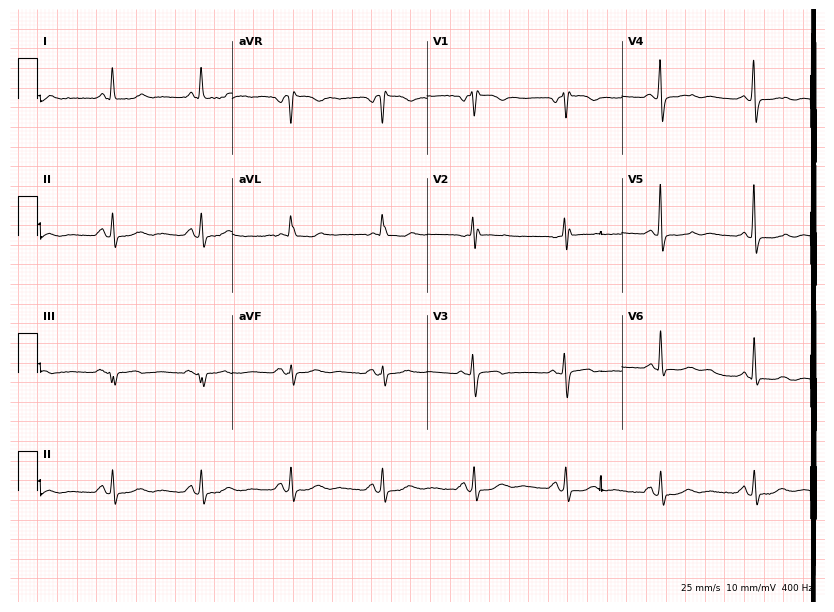
Resting 12-lead electrocardiogram (7.9-second recording at 400 Hz). Patient: a female, 72 years old. None of these six findings is recorded: first-degree AV block, right bundle branch block (RBBB), left bundle branch block (LBBB), sinus bradycardia, atrial fibrillation (AF), sinus tachycardia. Only these six findings were labelled.